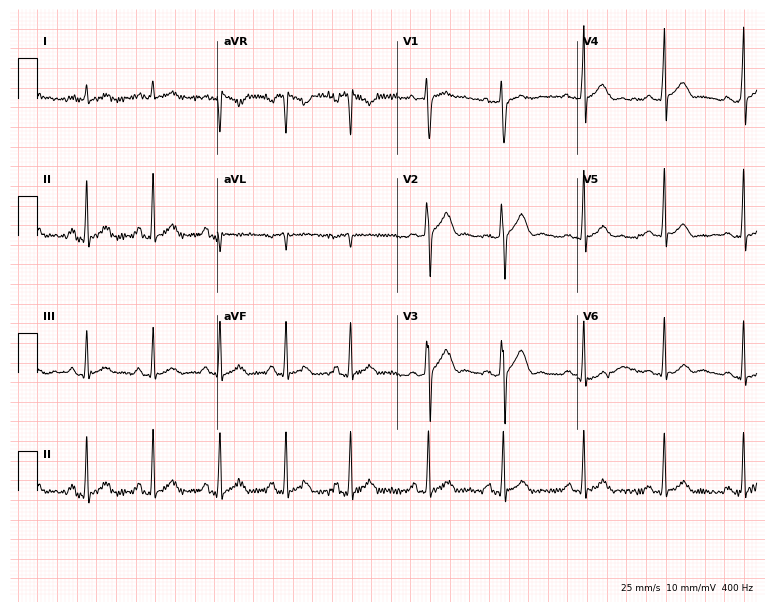
Resting 12-lead electrocardiogram. Patient: a 24-year-old man. Read as a normal ECG.